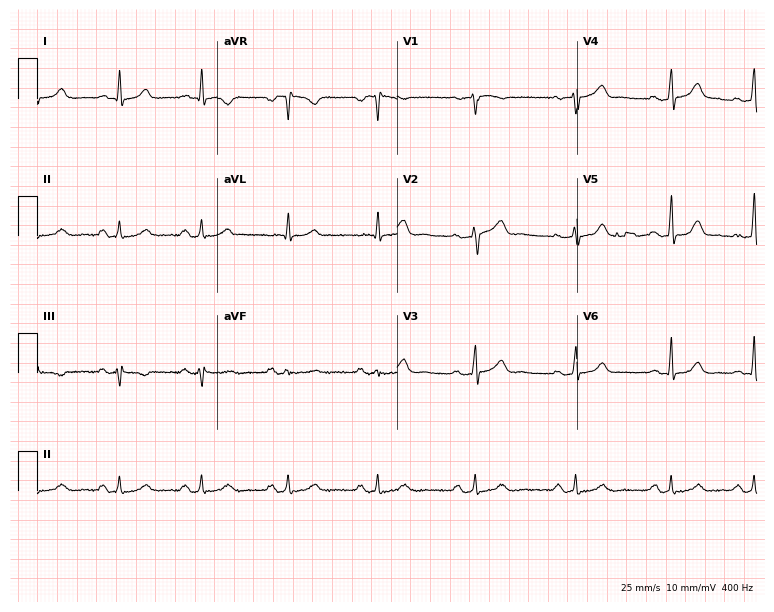
Electrocardiogram (7.3-second recording at 400 Hz), a 32-year-old male patient. Overall reading on record: normal ECG.